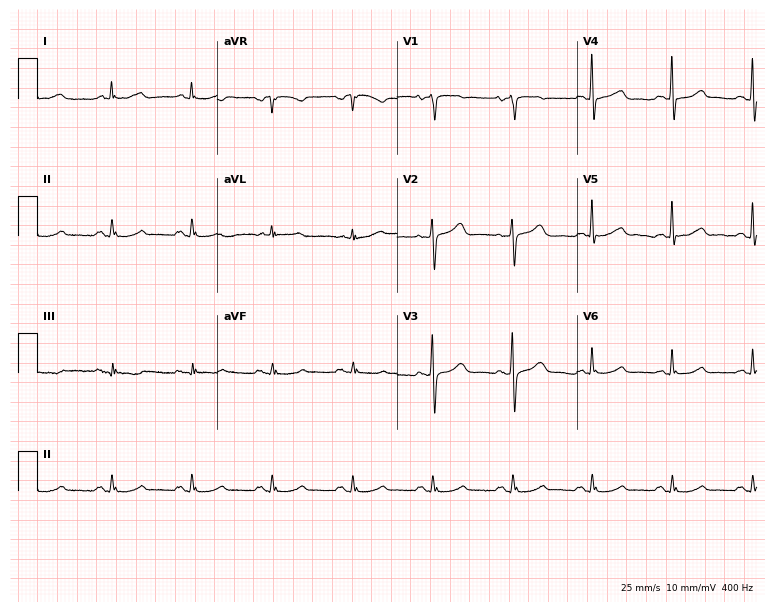
Standard 12-lead ECG recorded from a 61-year-old female patient. None of these six findings is recorded: first-degree AV block, right bundle branch block, left bundle branch block, sinus bradycardia, atrial fibrillation, sinus tachycardia. Other findings, if any, are not listed.